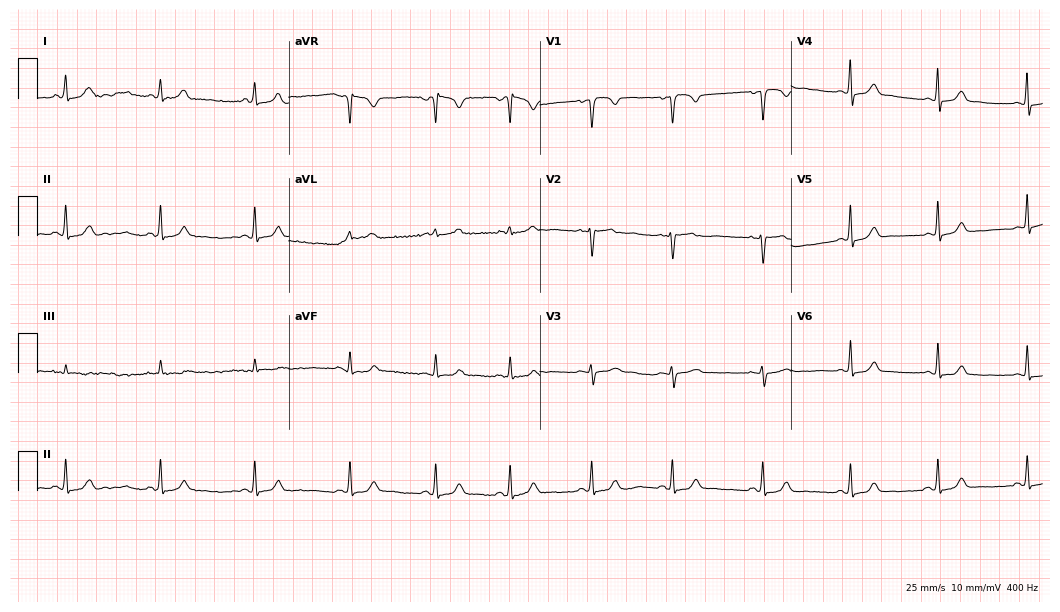
12-lead ECG (10.2-second recording at 400 Hz) from a female, 27 years old. Screened for six findings — first-degree AV block, right bundle branch block, left bundle branch block, sinus bradycardia, atrial fibrillation, sinus tachycardia — none is recorded.